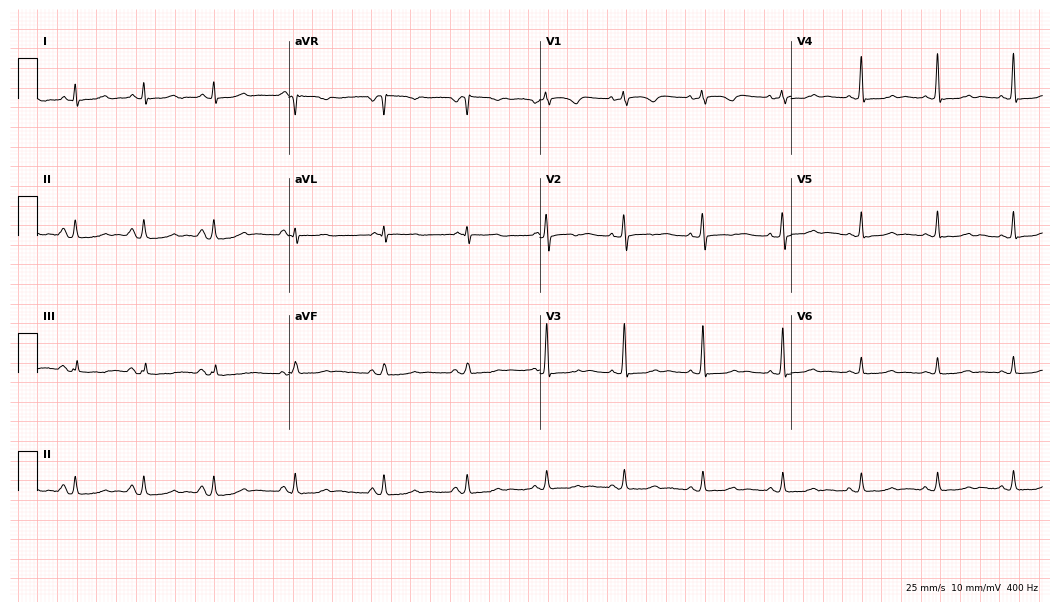
Standard 12-lead ECG recorded from a 56-year-old woman (10.2-second recording at 400 Hz). None of these six findings is recorded: first-degree AV block, right bundle branch block, left bundle branch block, sinus bradycardia, atrial fibrillation, sinus tachycardia.